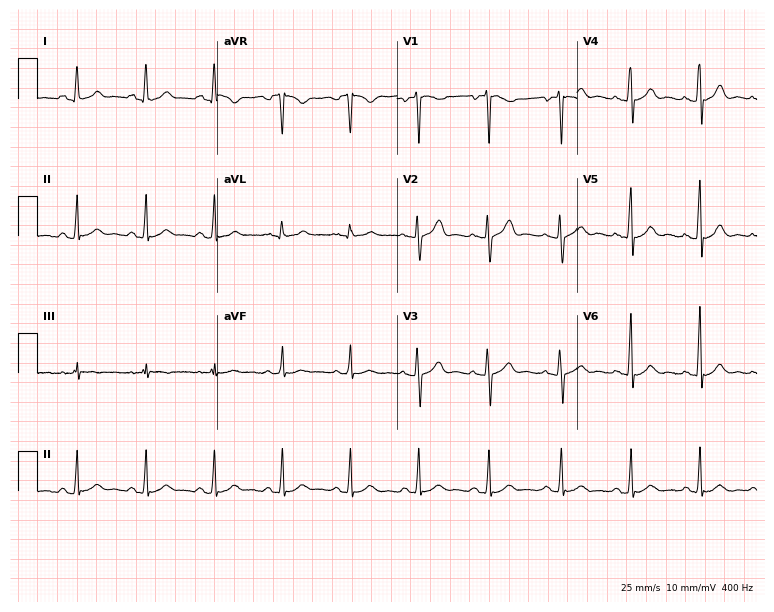
Electrocardiogram (7.3-second recording at 400 Hz), a 30-year-old woman. Overall reading on record: normal ECG.